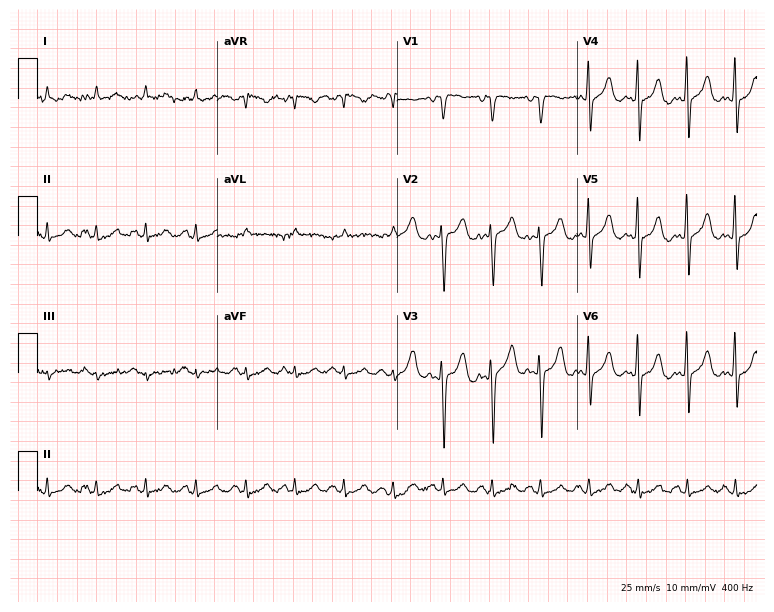
ECG (7.3-second recording at 400 Hz) — a 79-year-old man. Findings include sinus tachycardia (a sinus rate of 100 beats per minute or more).